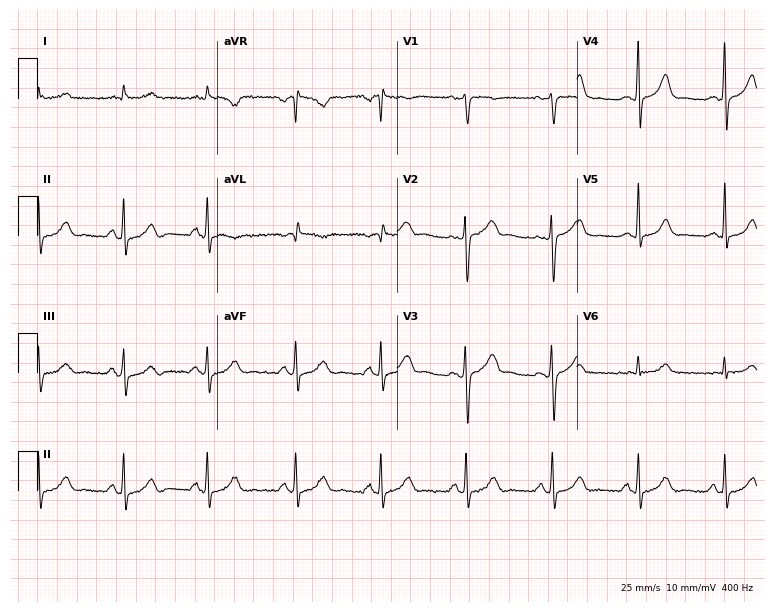
ECG — a 55-year-old male patient. Screened for six findings — first-degree AV block, right bundle branch block, left bundle branch block, sinus bradycardia, atrial fibrillation, sinus tachycardia — none is recorded. Findings outside these six are not listed.